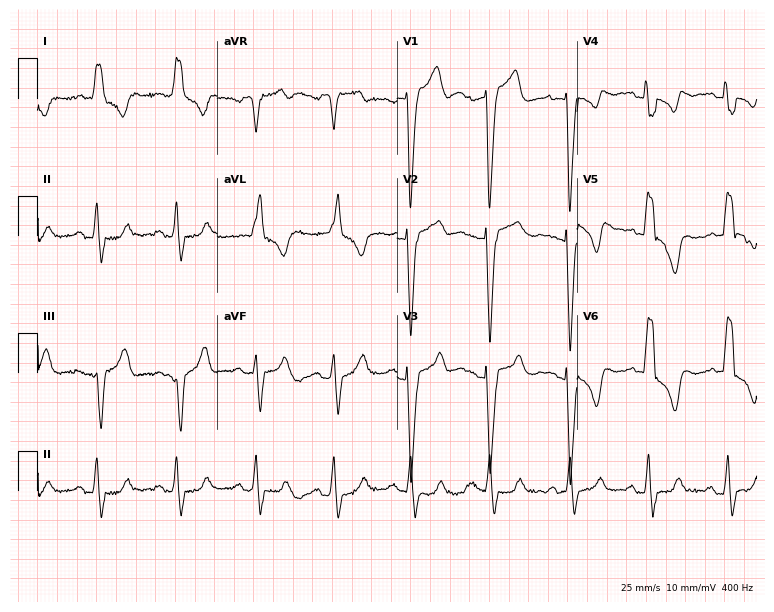
12-lead ECG from a female, 81 years old (7.3-second recording at 400 Hz). Shows left bundle branch block.